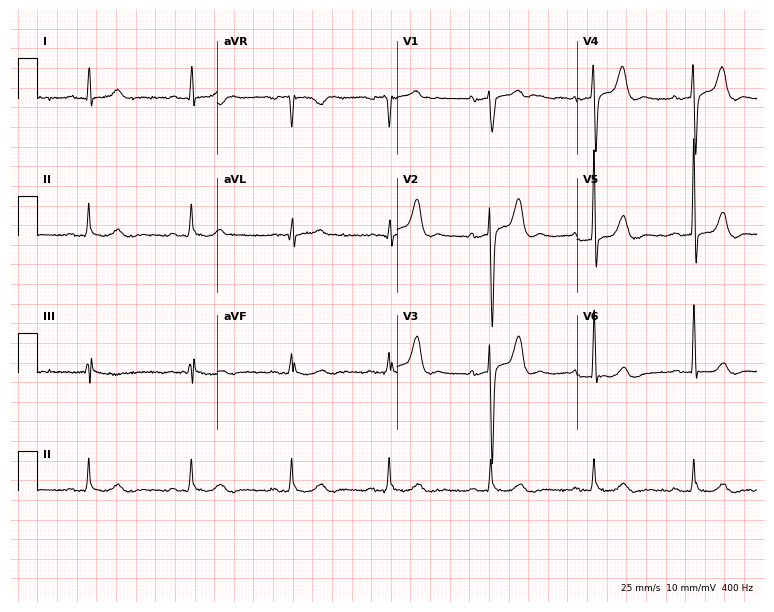
12-lead ECG from a man, 67 years old (7.3-second recording at 400 Hz). Recorded interpretation: within normal limits.